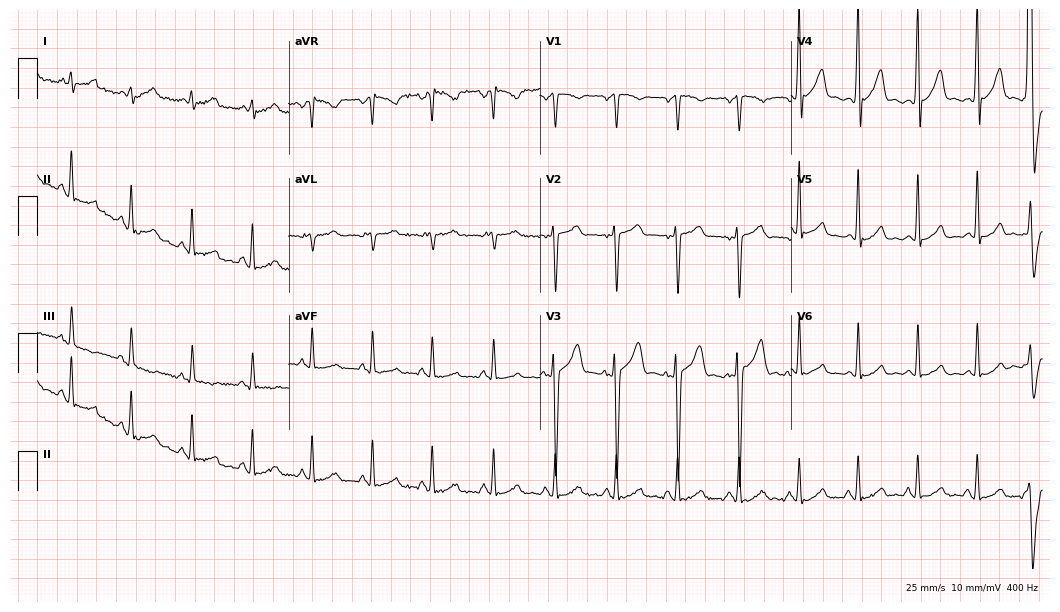
Standard 12-lead ECG recorded from a 26-year-old man. Read as a normal ECG.